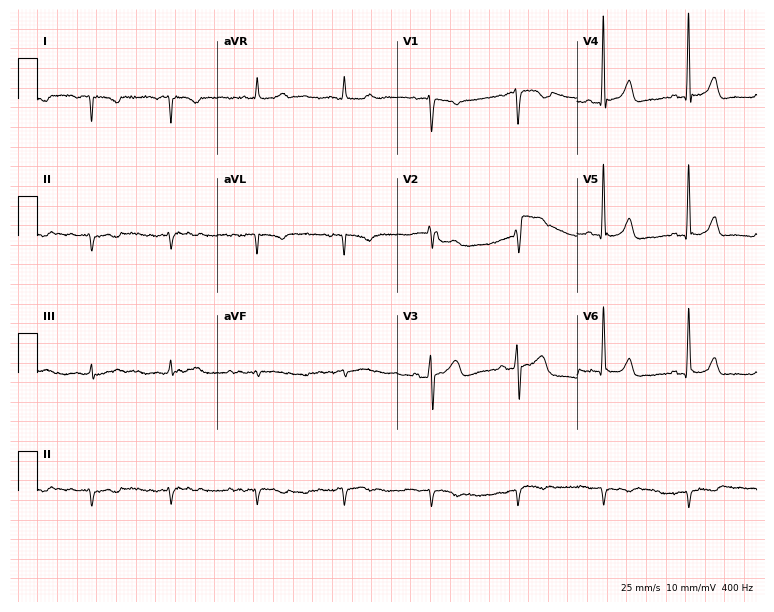
12-lead ECG from a woman, 51 years old. Recorded interpretation: within normal limits.